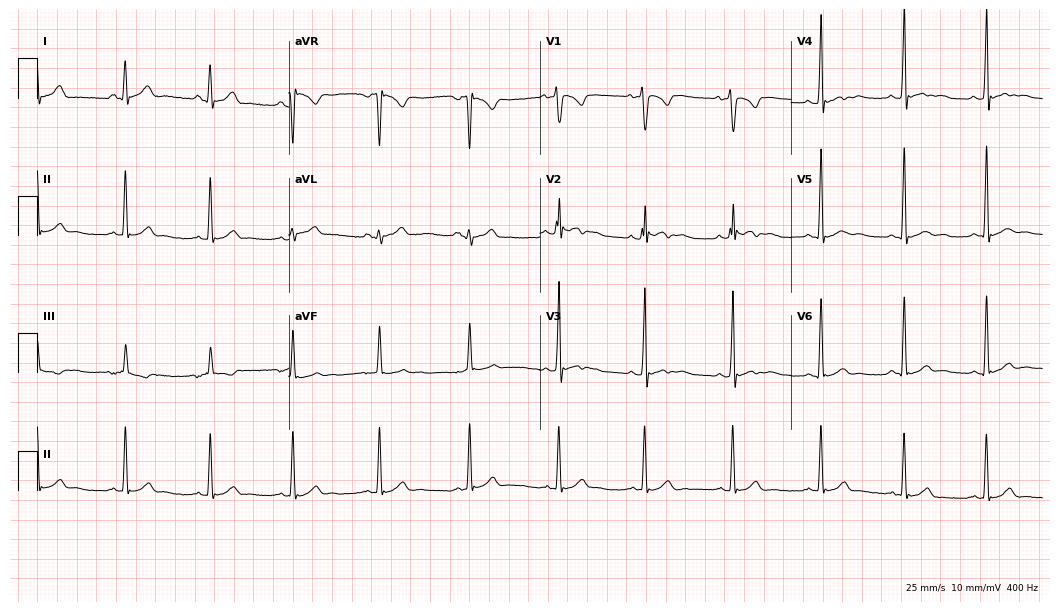
Standard 12-lead ECG recorded from a male, 19 years old (10.2-second recording at 400 Hz). Read as a normal ECG.